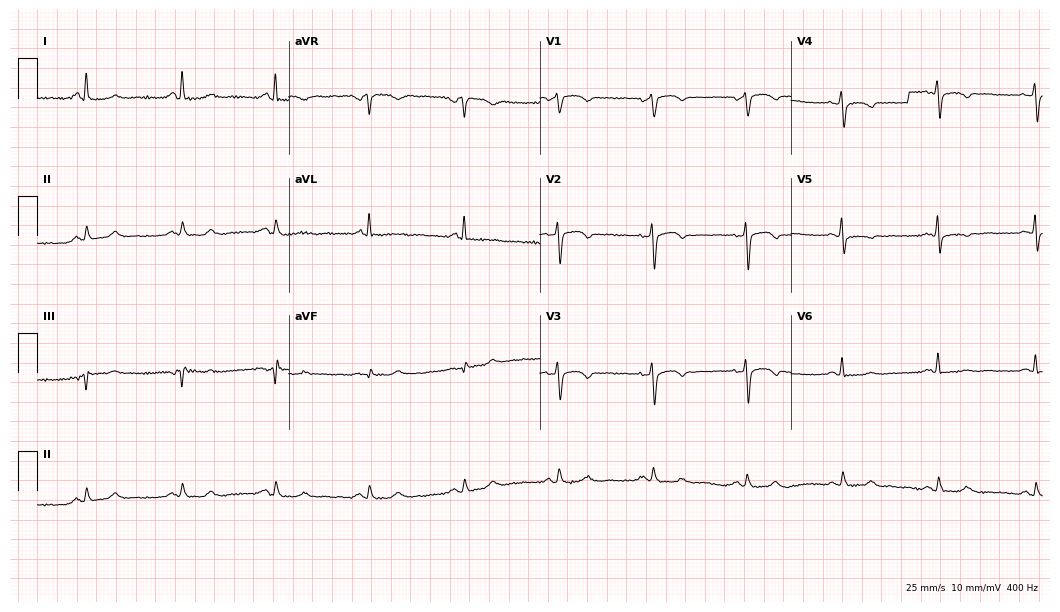
Resting 12-lead electrocardiogram. Patient: a 69-year-old woman. Read as a normal ECG.